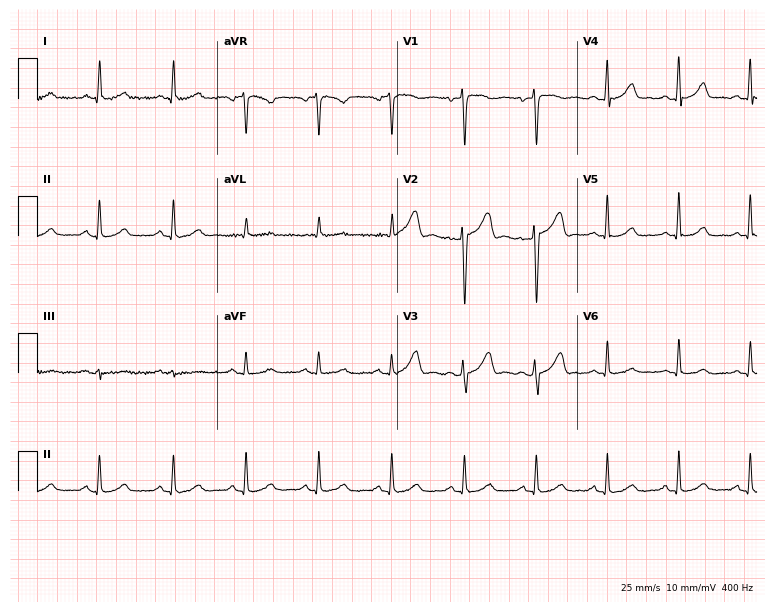
ECG (7.3-second recording at 400 Hz) — a female patient, 57 years old. Labelled as a normal ECG.